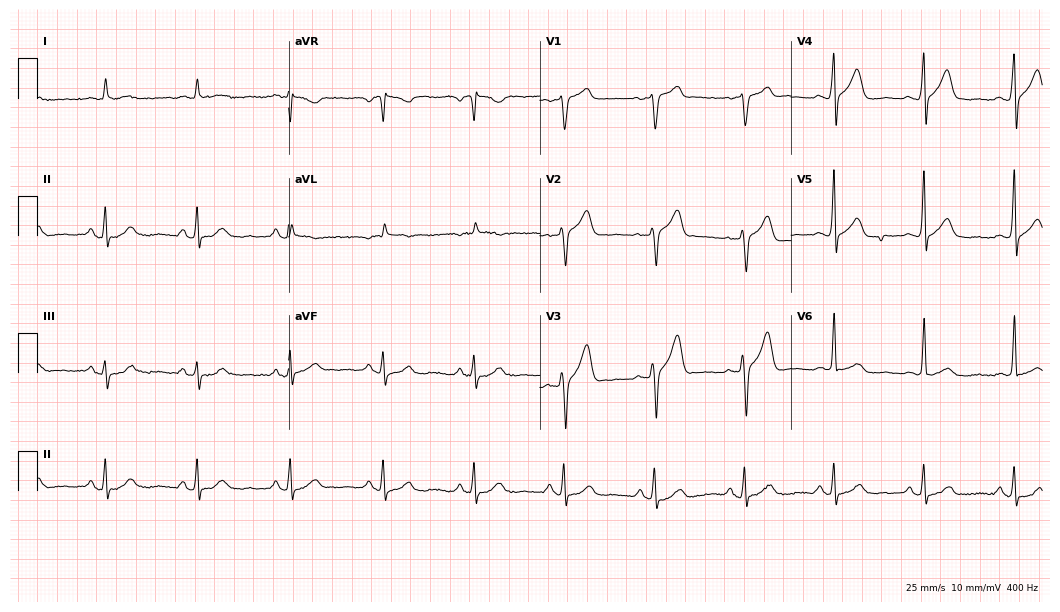
12-lead ECG from an 83-year-old male patient (10.2-second recording at 400 Hz). No first-degree AV block, right bundle branch block, left bundle branch block, sinus bradycardia, atrial fibrillation or sinus tachycardia recorded for this tracing. Findings outside these six are not listed.